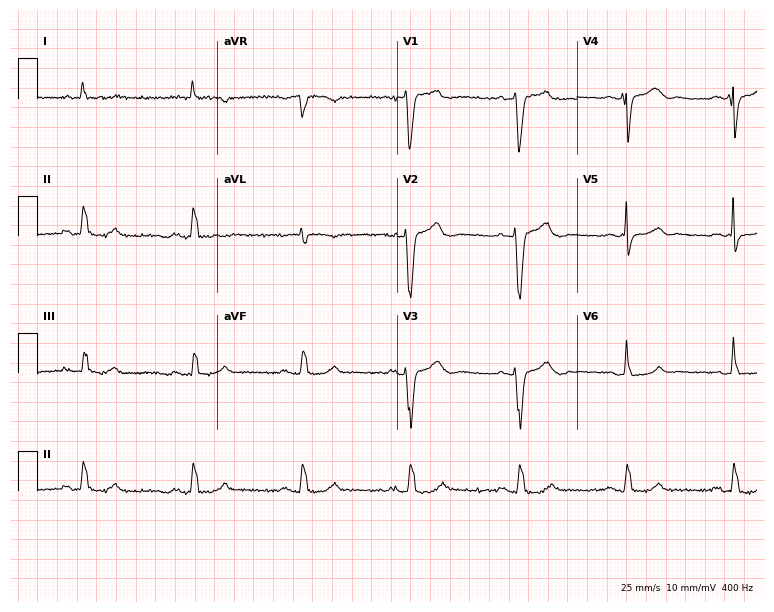
Resting 12-lead electrocardiogram. Patient: a 79-year-old man. The tracing shows left bundle branch block.